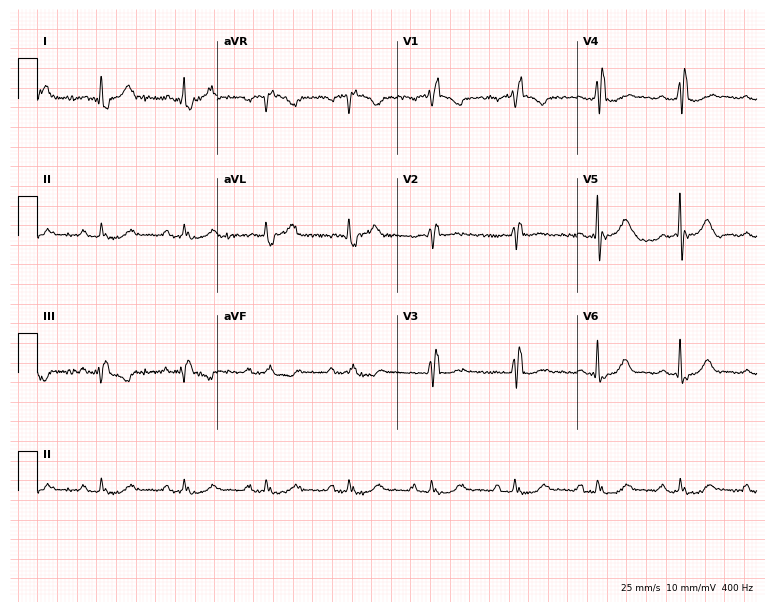
Electrocardiogram (7.3-second recording at 400 Hz), a 75-year-old woman. Interpretation includes right bundle branch block.